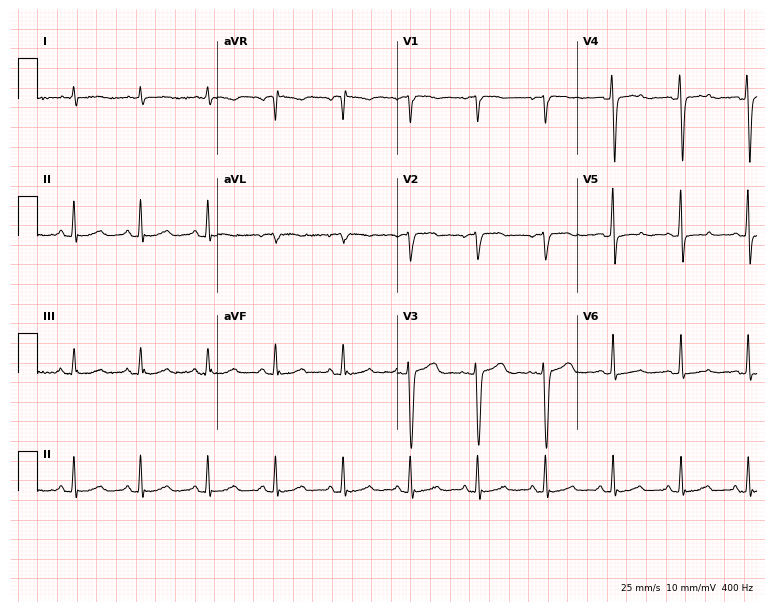
12-lead ECG from a female, 45 years old. Screened for six findings — first-degree AV block, right bundle branch block (RBBB), left bundle branch block (LBBB), sinus bradycardia, atrial fibrillation (AF), sinus tachycardia — none is recorded.